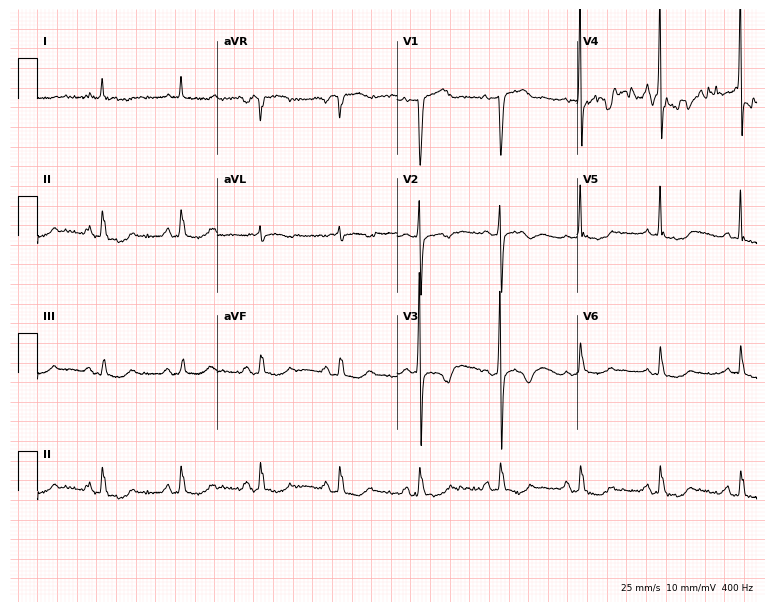
12-lead ECG from a woman, 70 years old (7.3-second recording at 400 Hz). No first-degree AV block, right bundle branch block (RBBB), left bundle branch block (LBBB), sinus bradycardia, atrial fibrillation (AF) or sinus tachycardia recorded for this tracing.